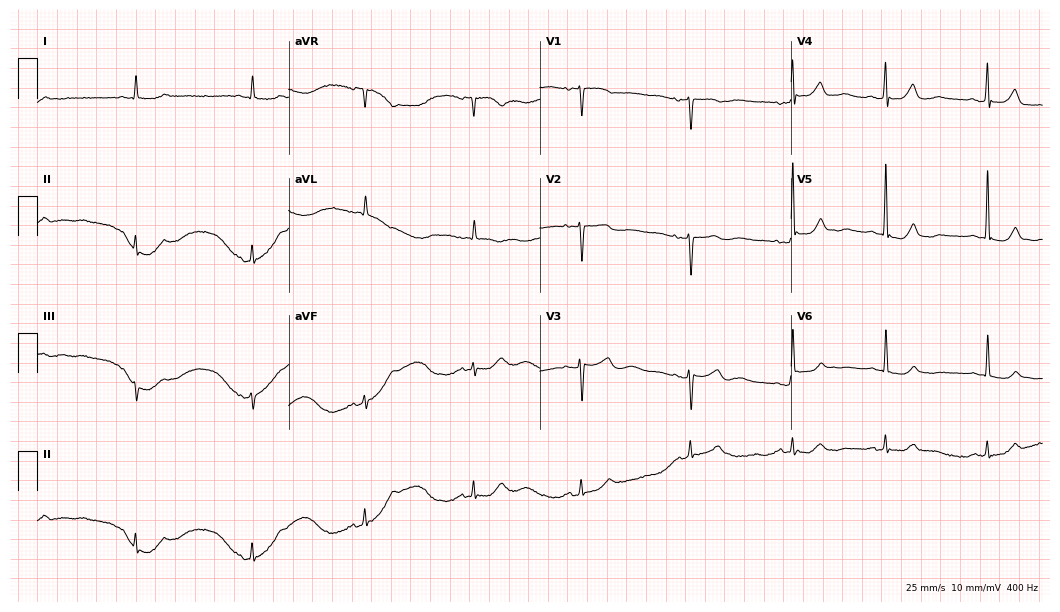
Standard 12-lead ECG recorded from a 79-year-old female (10.2-second recording at 400 Hz). Read as a normal ECG.